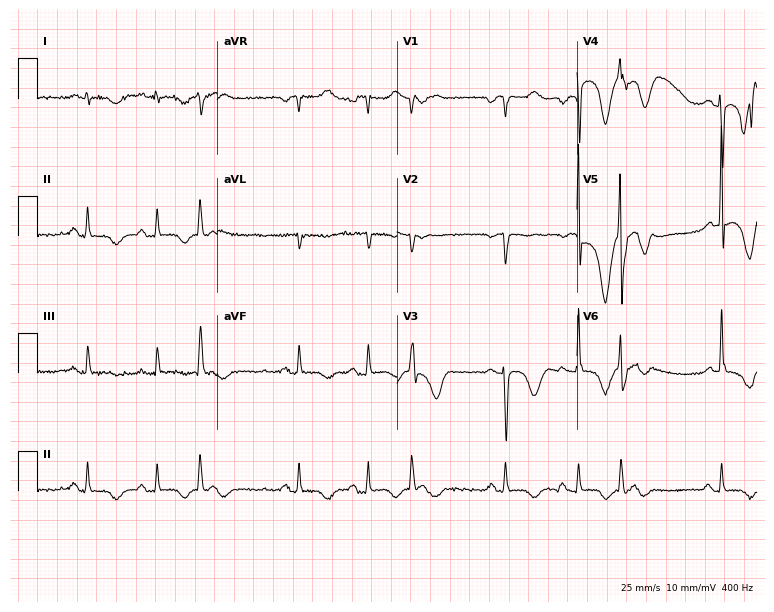
Resting 12-lead electrocardiogram. Patient: a female, 85 years old. None of these six findings is recorded: first-degree AV block, right bundle branch block, left bundle branch block, sinus bradycardia, atrial fibrillation, sinus tachycardia. Findings outside these six are not listed.